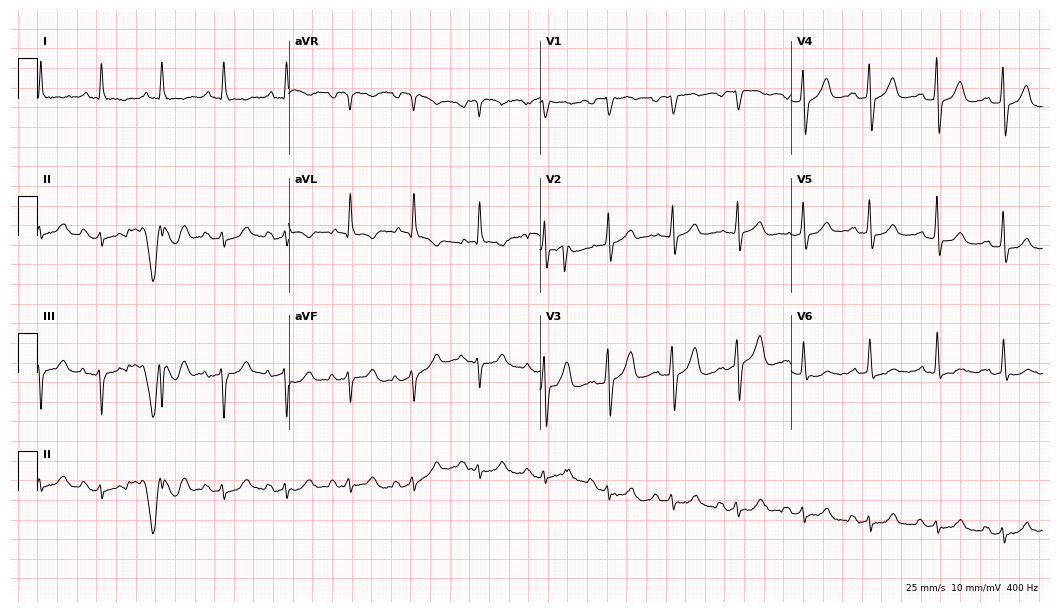
Resting 12-lead electrocardiogram. Patient: a 74-year-old male. None of these six findings is recorded: first-degree AV block, right bundle branch block (RBBB), left bundle branch block (LBBB), sinus bradycardia, atrial fibrillation (AF), sinus tachycardia.